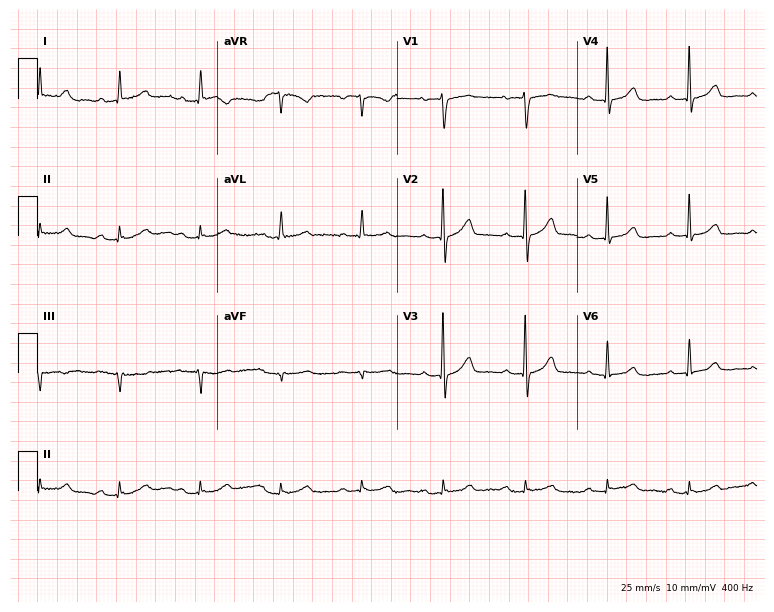
12-lead ECG from an 83-year-old man (7.3-second recording at 400 Hz). Shows first-degree AV block.